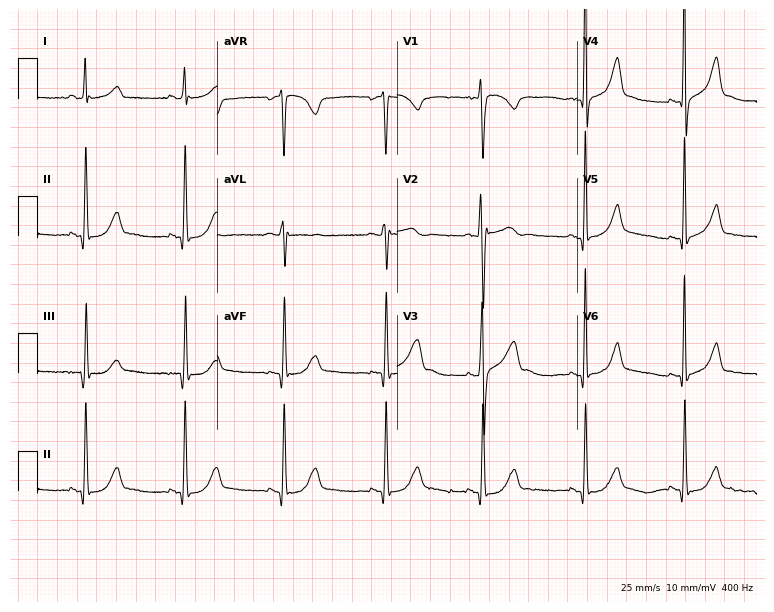
12-lead ECG from a 26-year-old male. Recorded interpretation: within normal limits.